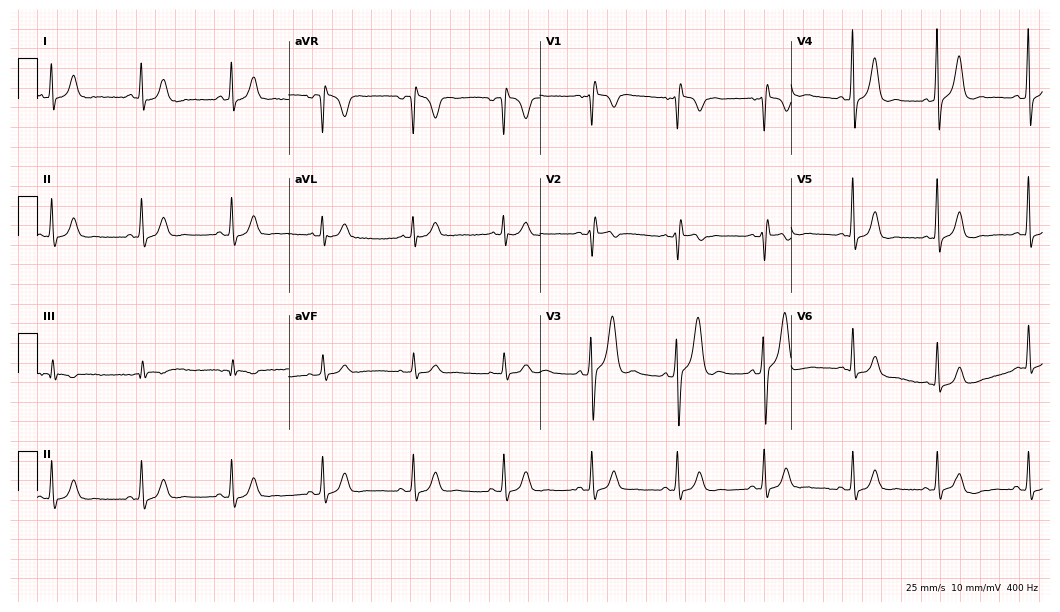
Resting 12-lead electrocardiogram. Patient: a male, 39 years old. Read as a normal ECG.